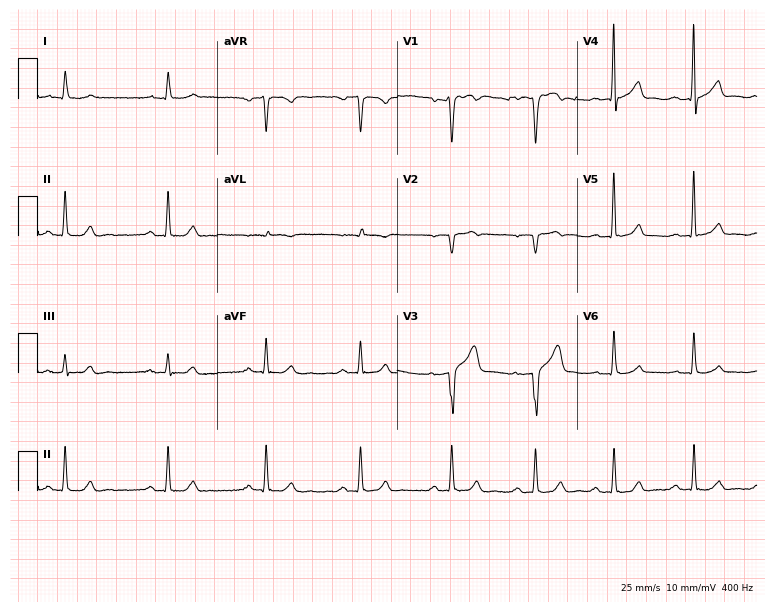
Resting 12-lead electrocardiogram (7.3-second recording at 400 Hz). Patient: a male, 69 years old. None of these six findings is recorded: first-degree AV block, right bundle branch block, left bundle branch block, sinus bradycardia, atrial fibrillation, sinus tachycardia. Only these six findings were labelled.